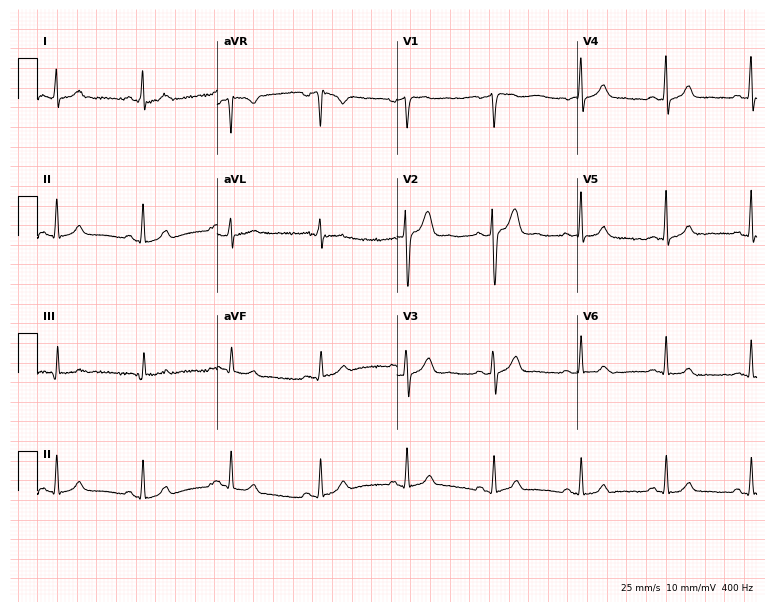
12-lead ECG (7.3-second recording at 400 Hz) from a 41-year-old male patient. Labelled as a normal ECG.